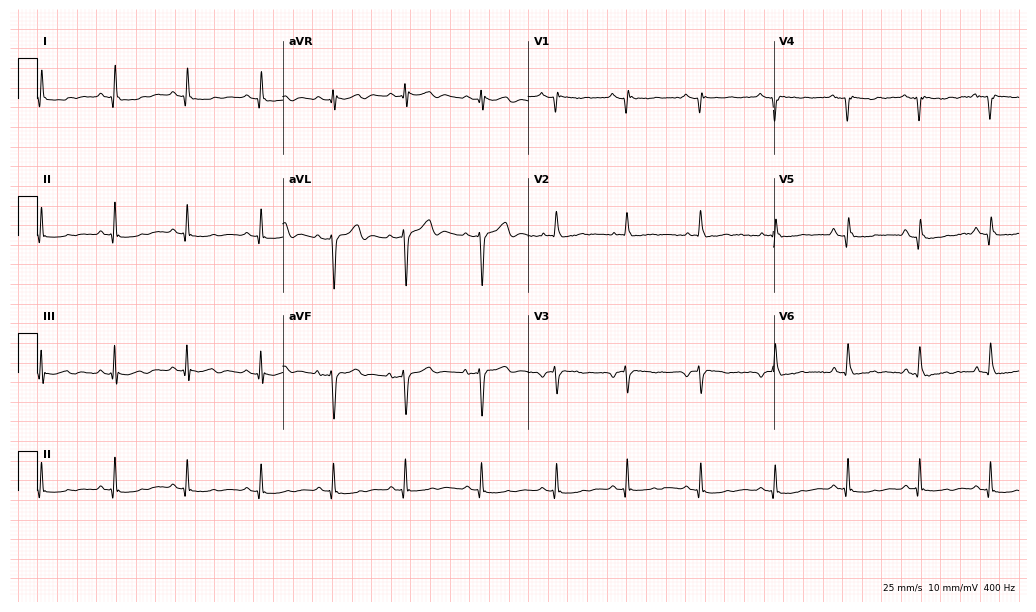
Resting 12-lead electrocardiogram. Patient: an 85-year-old female. None of these six findings is recorded: first-degree AV block, right bundle branch block (RBBB), left bundle branch block (LBBB), sinus bradycardia, atrial fibrillation (AF), sinus tachycardia.